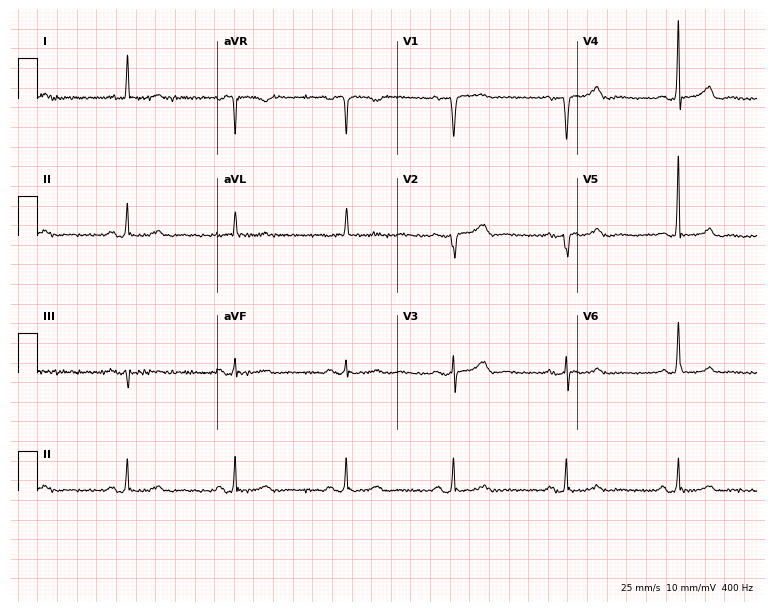
12-lead ECG from an 80-year-old woman. Screened for six findings — first-degree AV block, right bundle branch block, left bundle branch block, sinus bradycardia, atrial fibrillation, sinus tachycardia — none is recorded.